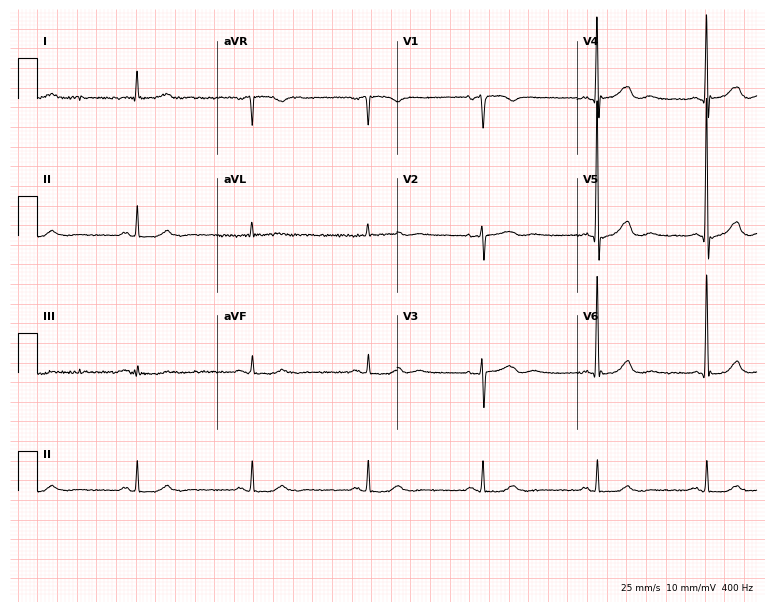
12-lead ECG (7.3-second recording at 400 Hz) from a woman, 81 years old. Screened for six findings — first-degree AV block, right bundle branch block, left bundle branch block, sinus bradycardia, atrial fibrillation, sinus tachycardia — none is recorded. Other findings, if any, are not listed.